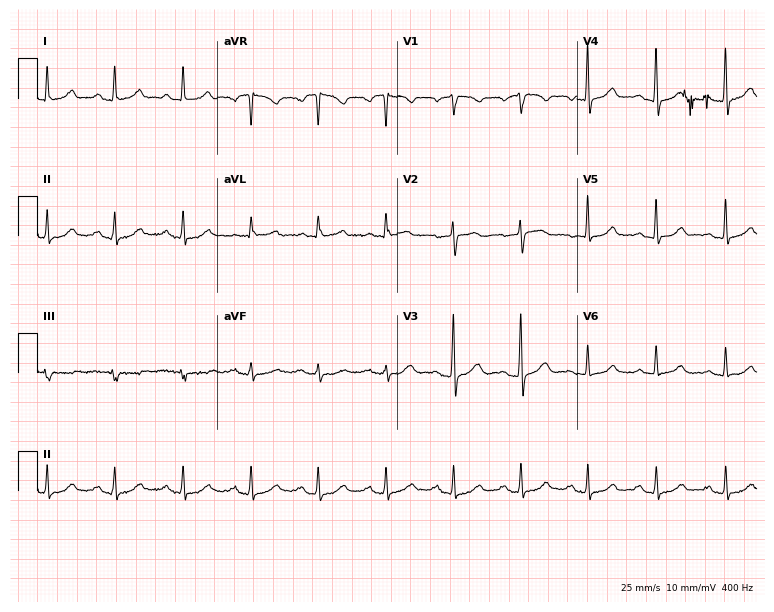
Standard 12-lead ECG recorded from a 70-year-old female. Read as a normal ECG.